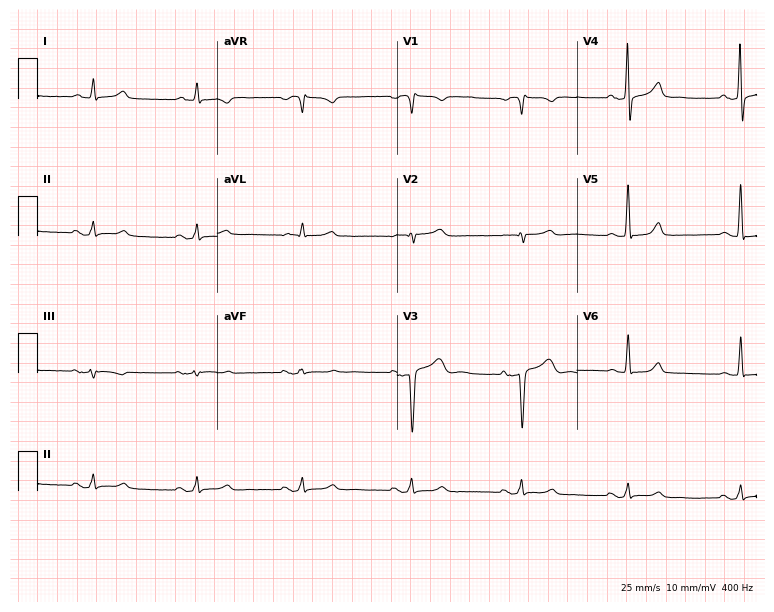
ECG (7.3-second recording at 400 Hz) — a 59-year-old male. Screened for six findings — first-degree AV block, right bundle branch block, left bundle branch block, sinus bradycardia, atrial fibrillation, sinus tachycardia — none is recorded. Findings outside these six are not listed.